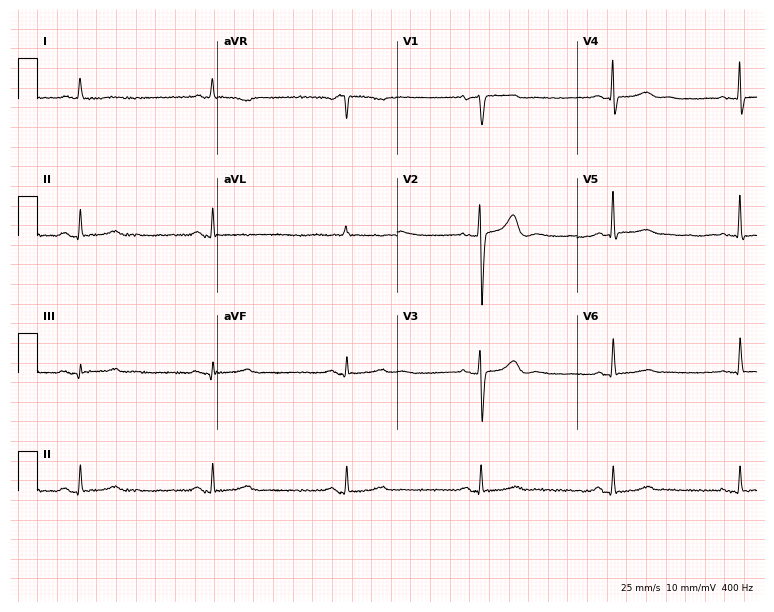
12-lead ECG from an 84-year-old female. Findings include sinus bradycardia (a sinus rate of 50 beats per minute or less).